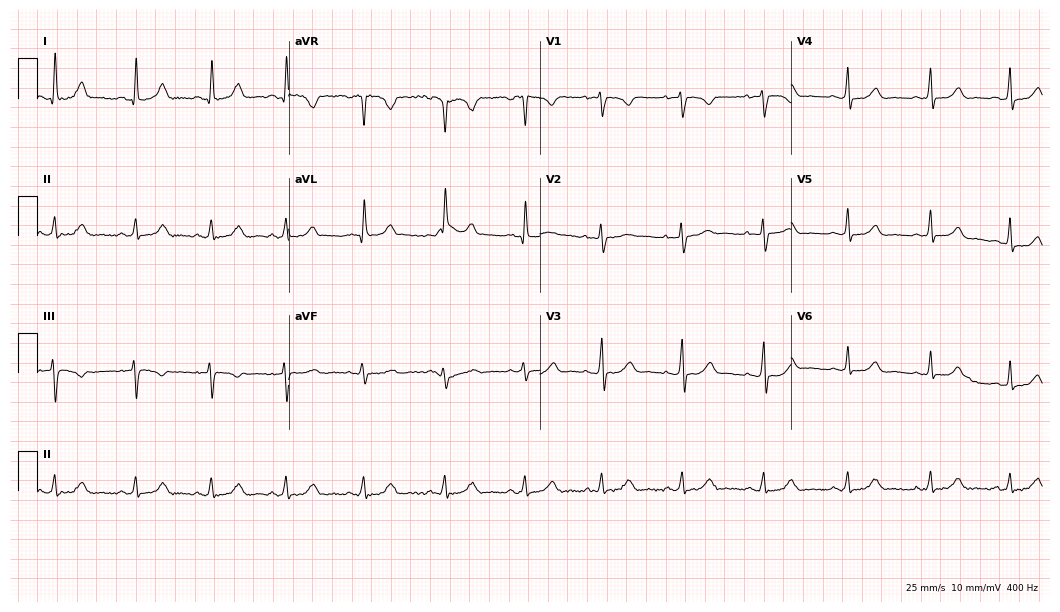
12-lead ECG from a woman, 35 years old (10.2-second recording at 400 Hz). Recorded interpretation: within normal limits.